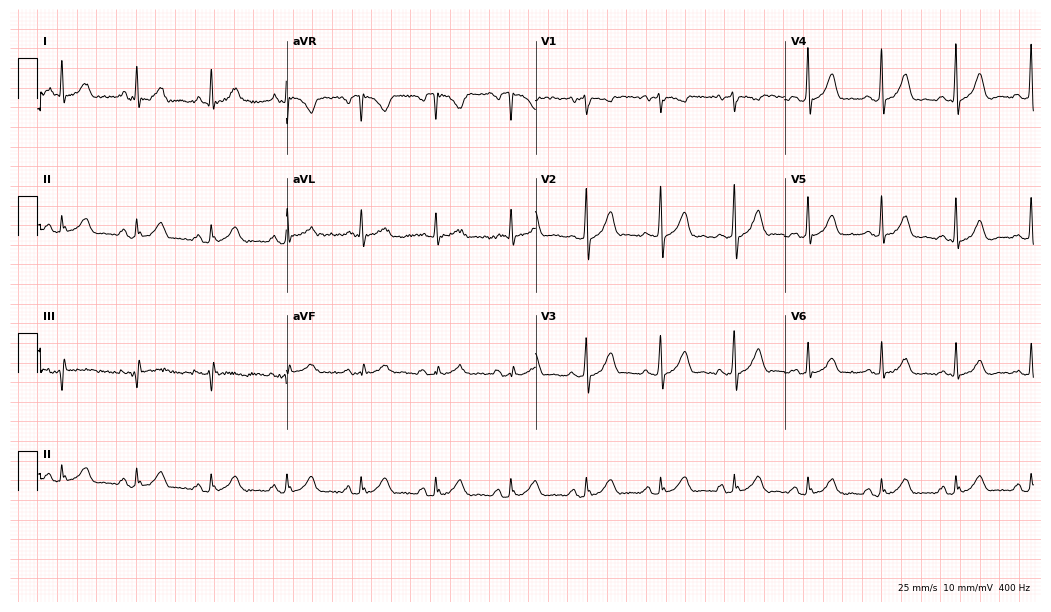
Electrocardiogram (10.2-second recording at 400 Hz), a 63-year-old man. Overall reading on record: normal ECG.